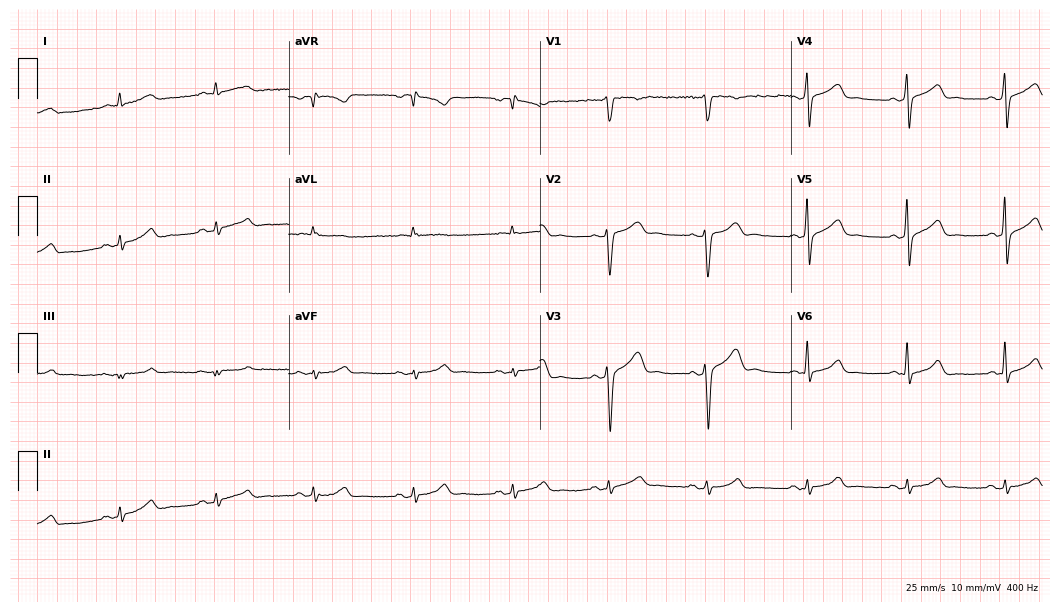
Electrocardiogram, a 45-year-old man. Overall reading on record: normal ECG.